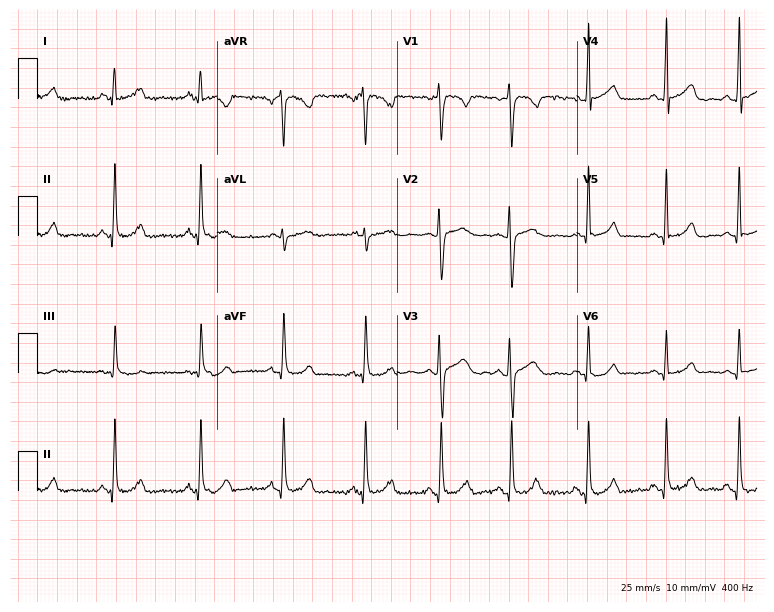
Electrocardiogram, a 29-year-old female patient. Overall reading on record: normal ECG.